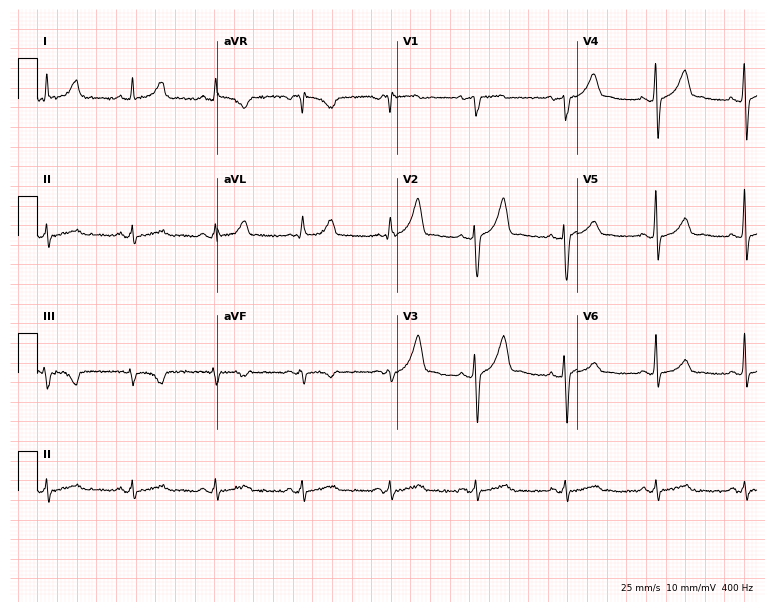
ECG — a 33-year-old male patient. Labelled as a normal ECG.